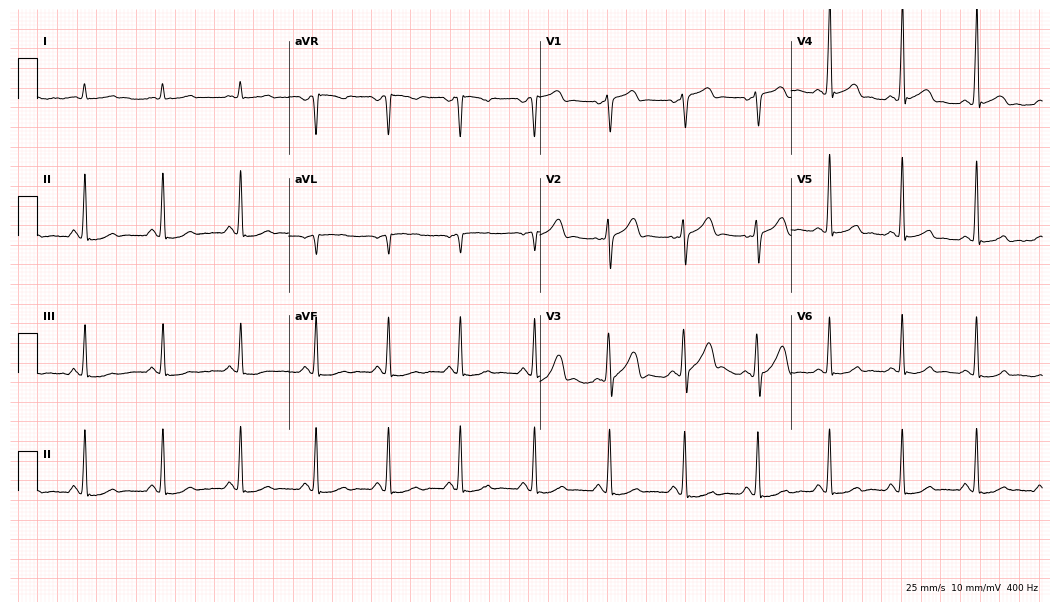
Standard 12-lead ECG recorded from a 21-year-old male. Read as a normal ECG.